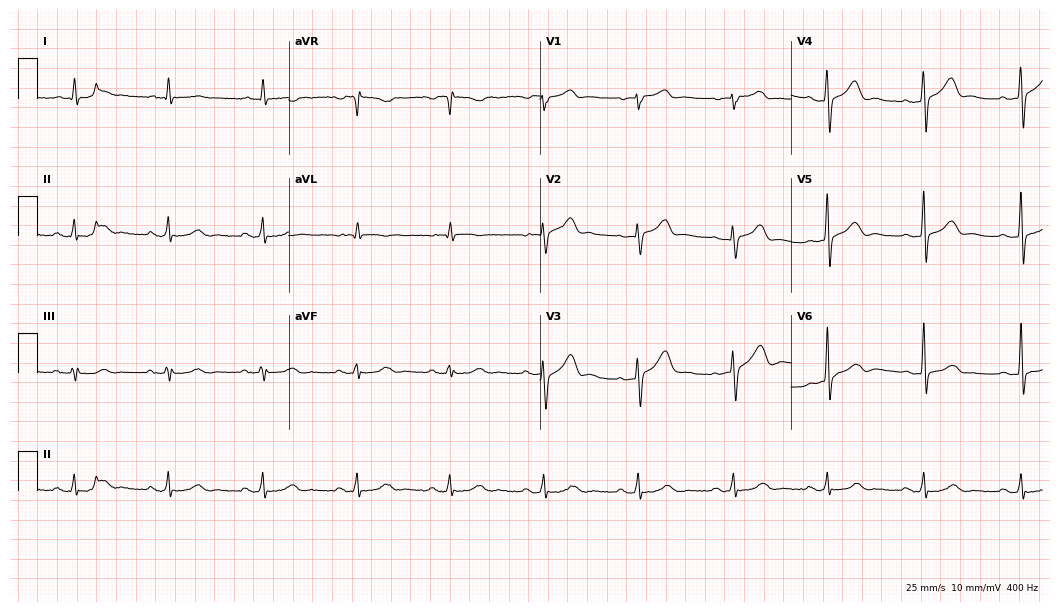
ECG — a man, 51 years old. Screened for six findings — first-degree AV block, right bundle branch block, left bundle branch block, sinus bradycardia, atrial fibrillation, sinus tachycardia — none is recorded.